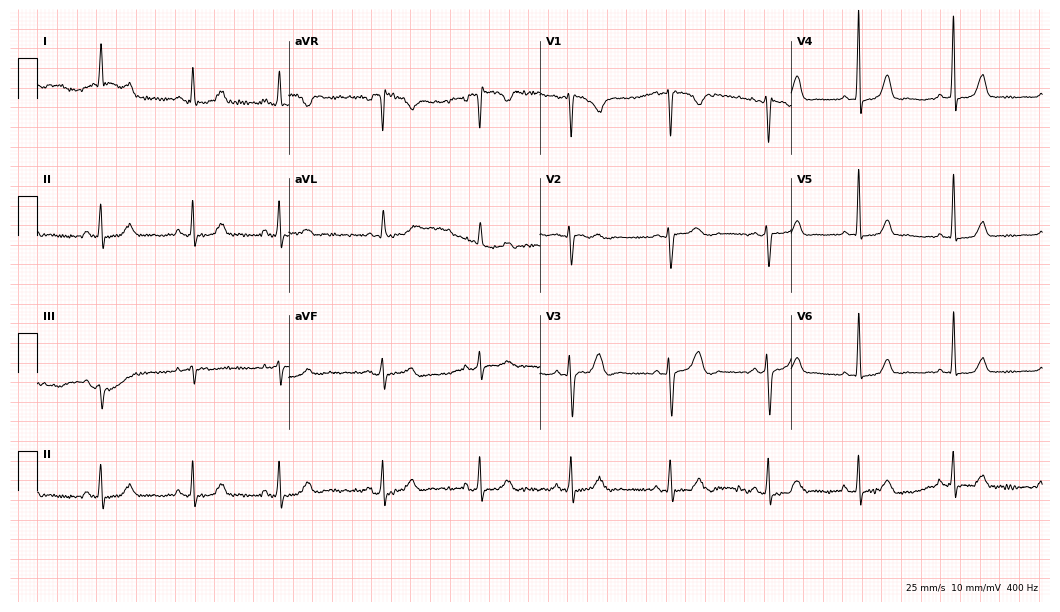
Standard 12-lead ECG recorded from a 30-year-old woman. None of these six findings is recorded: first-degree AV block, right bundle branch block, left bundle branch block, sinus bradycardia, atrial fibrillation, sinus tachycardia.